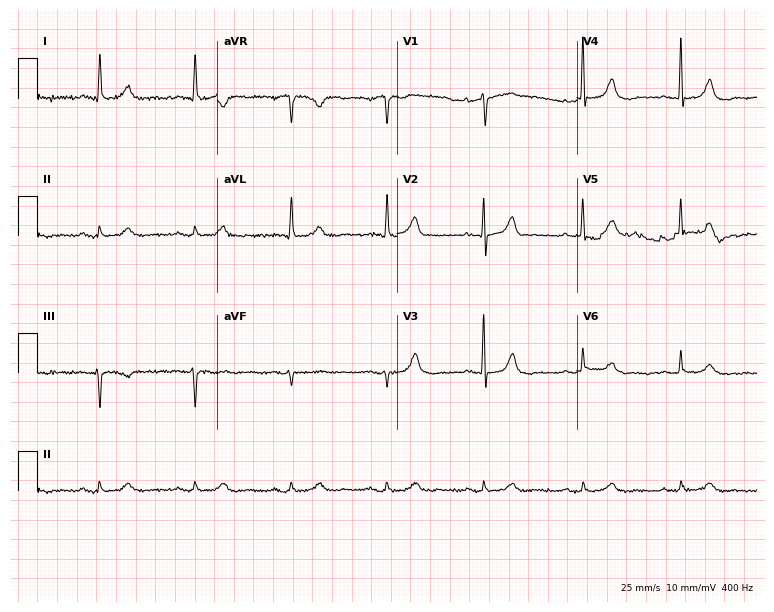
Electrocardiogram, a 35-year-old female. Of the six screened findings (first-degree AV block, right bundle branch block, left bundle branch block, sinus bradycardia, atrial fibrillation, sinus tachycardia), none is recorded. Only these six findings were labelled.